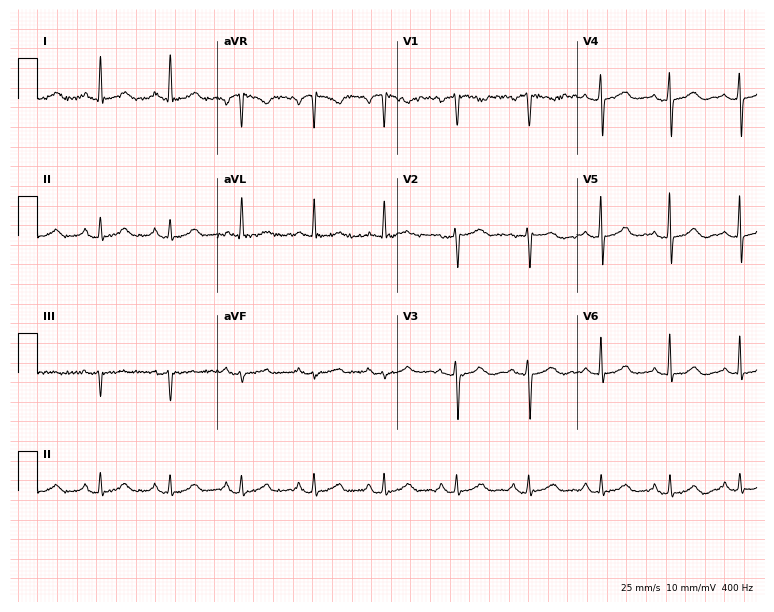
Standard 12-lead ECG recorded from a woman, 47 years old (7.3-second recording at 400 Hz). Read as a normal ECG.